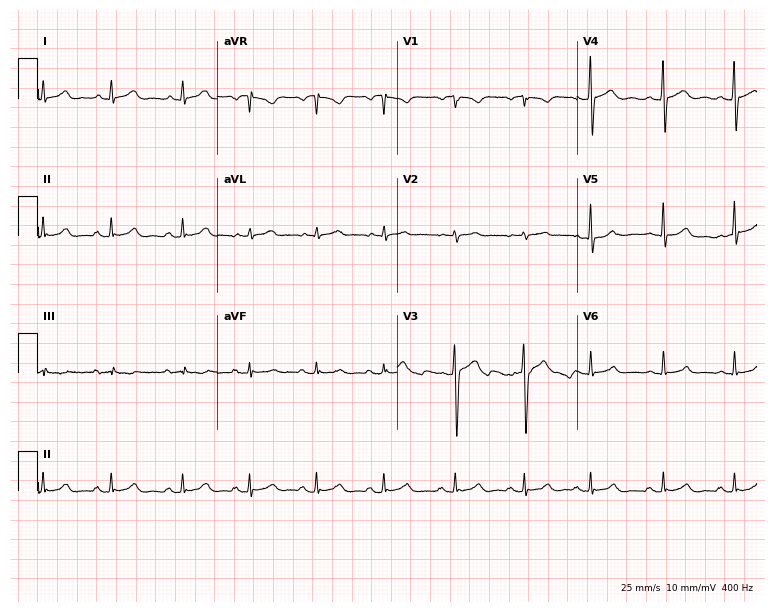
Standard 12-lead ECG recorded from a 20-year-old male (7.3-second recording at 400 Hz). None of these six findings is recorded: first-degree AV block, right bundle branch block (RBBB), left bundle branch block (LBBB), sinus bradycardia, atrial fibrillation (AF), sinus tachycardia. Only these six findings were labelled.